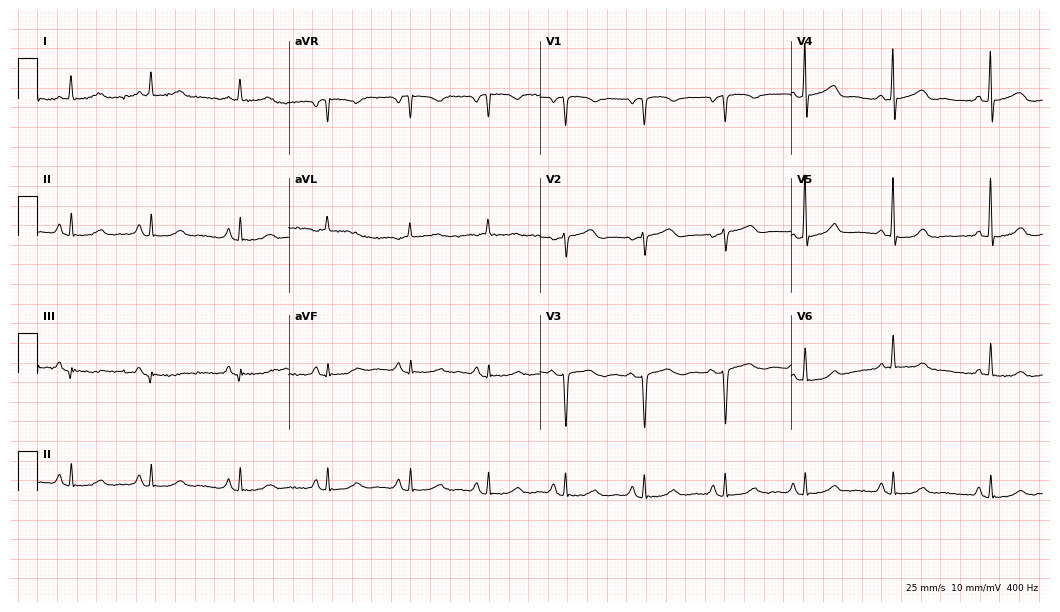
Standard 12-lead ECG recorded from a 57-year-old female (10.2-second recording at 400 Hz). Read as a normal ECG.